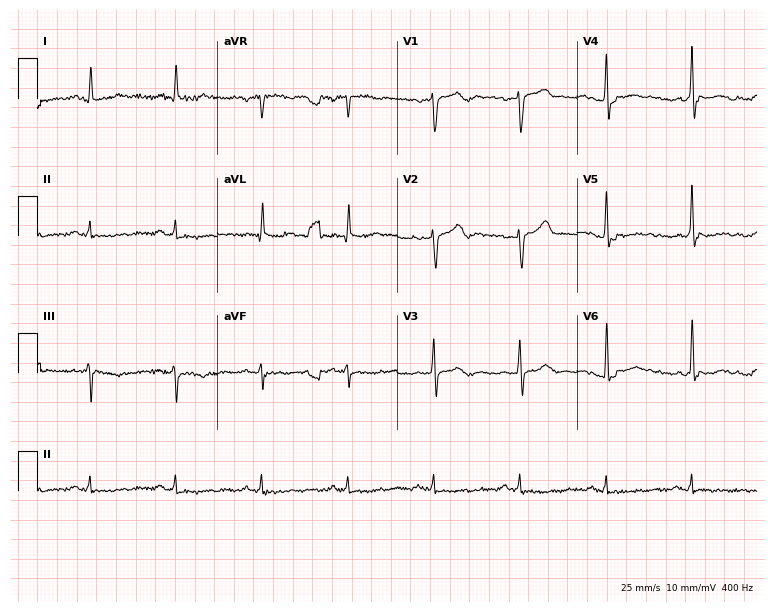
ECG — a 57-year-old male. Screened for six findings — first-degree AV block, right bundle branch block (RBBB), left bundle branch block (LBBB), sinus bradycardia, atrial fibrillation (AF), sinus tachycardia — none is recorded.